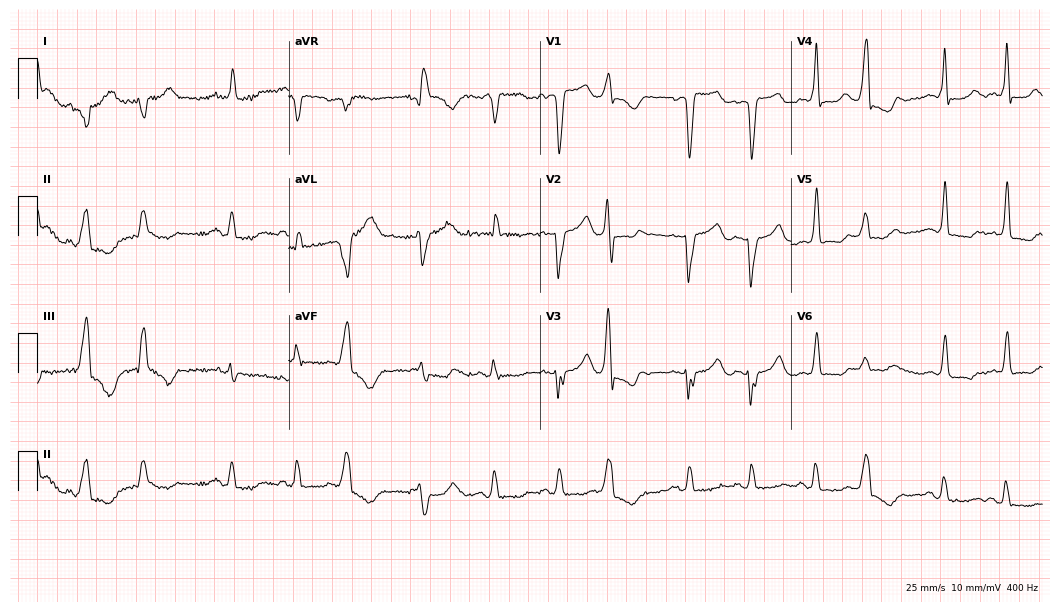
12-lead ECG from a female patient, 64 years old. Screened for six findings — first-degree AV block, right bundle branch block, left bundle branch block, sinus bradycardia, atrial fibrillation, sinus tachycardia — none is recorded. Other findings, if any, are not listed.